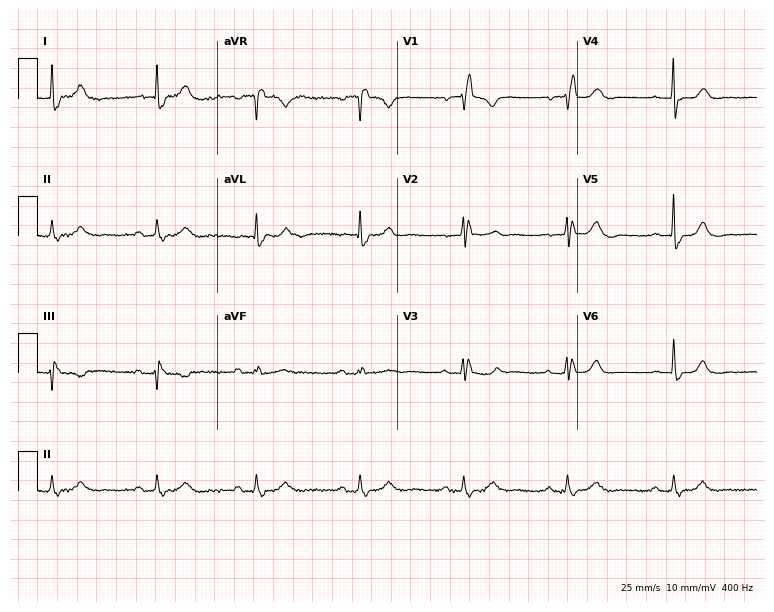
Standard 12-lead ECG recorded from a female patient, 77 years old (7.3-second recording at 400 Hz). None of these six findings is recorded: first-degree AV block, right bundle branch block (RBBB), left bundle branch block (LBBB), sinus bradycardia, atrial fibrillation (AF), sinus tachycardia. Findings outside these six are not listed.